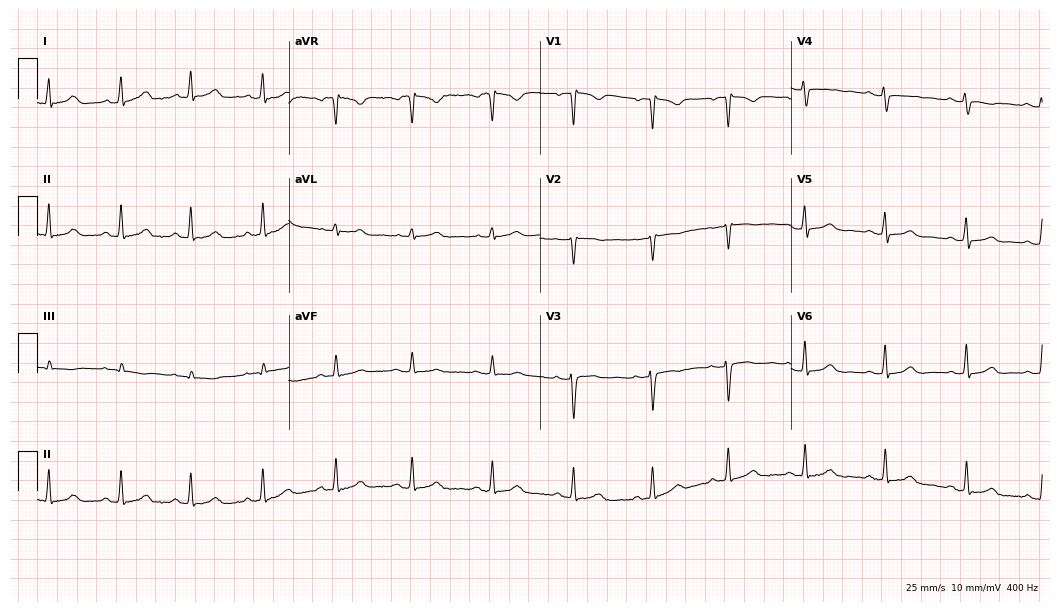
12-lead ECG from a 40-year-old female. Recorded interpretation: within normal limits.